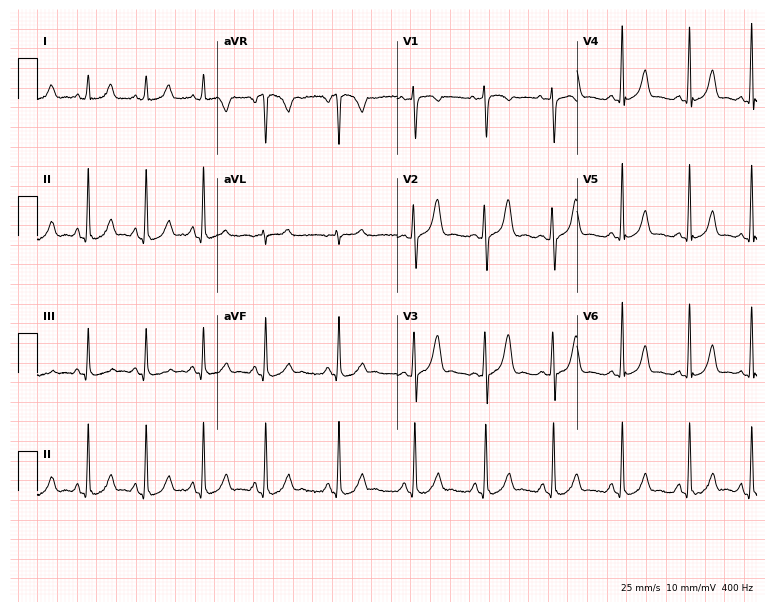
Resting 12-lead electrocardiogram (7.3-second recording at 400 Hz). Patient: an 18-year-old female. Read as a normal ECG.